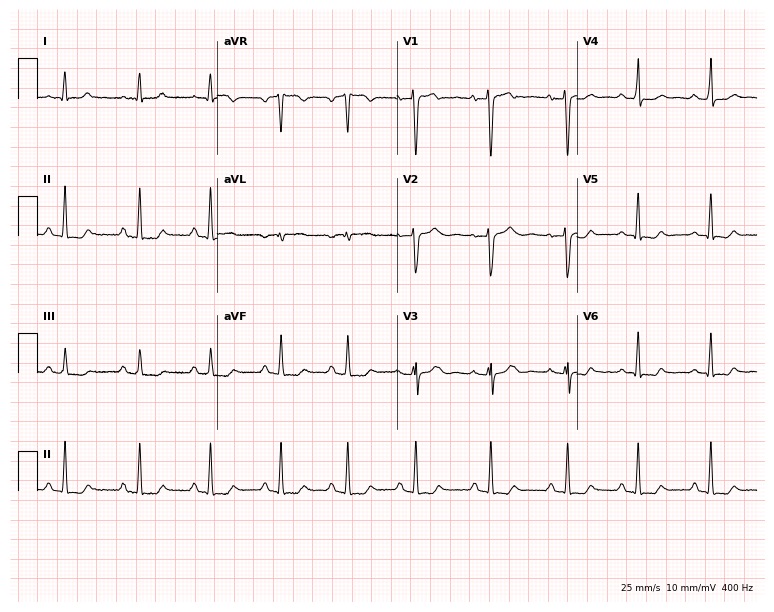
Electrocardiogram, a woman, 26 years old. Of the six screened findings (first-degree AV block, right bundle branch block, left bundle branch block, sinus bradycardia, atrial fibrillation, sinus tachycardia), none is recorded.